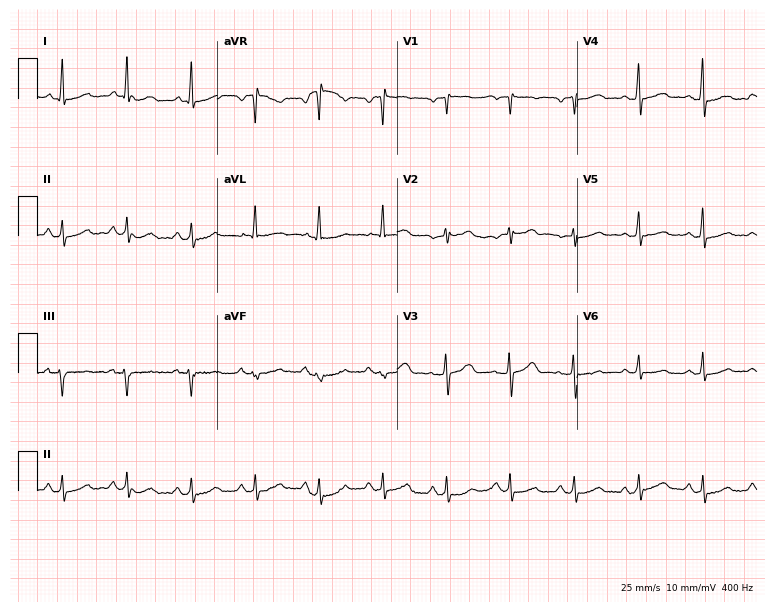
12-lead ECG from a female, 69 years old. No first-degree AV block, right bundle branch block, left bundle branch block, sinus bradycardia, atrial fibrillation or sinus tachycardia recorded for this tracing.